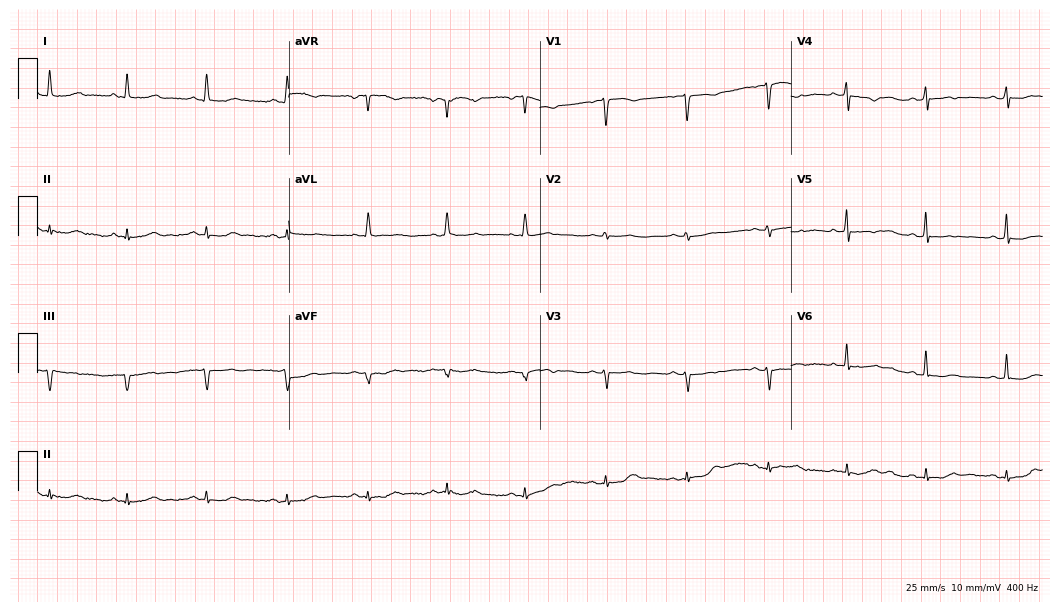
12-lead ECG from a female, 70 years old. Screened for six findings — first-degree AV block, right bundle branch block, left bundle branch block, sinus bradycardia, atrial fibrillation, sinus tachycardia — none is recorded. Findings outside these six are not listed.